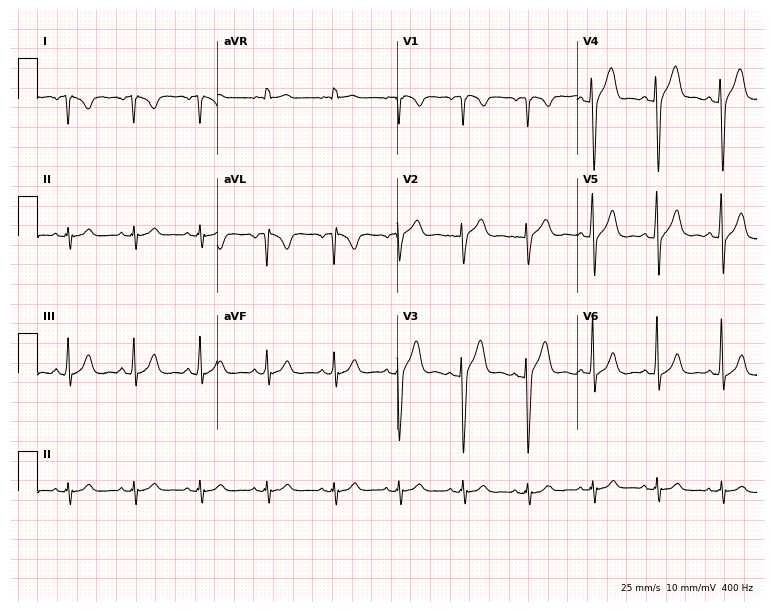
Resting 12-lead electrocardiogram. Patient: a 25-year-old man. None of these six findings is recorded: first-degree AV block, right bundle branch block, left bundle branch block, sinus bradycardia, atrial fibrillation, sinus tachycardia. Only these six findings were labelled.